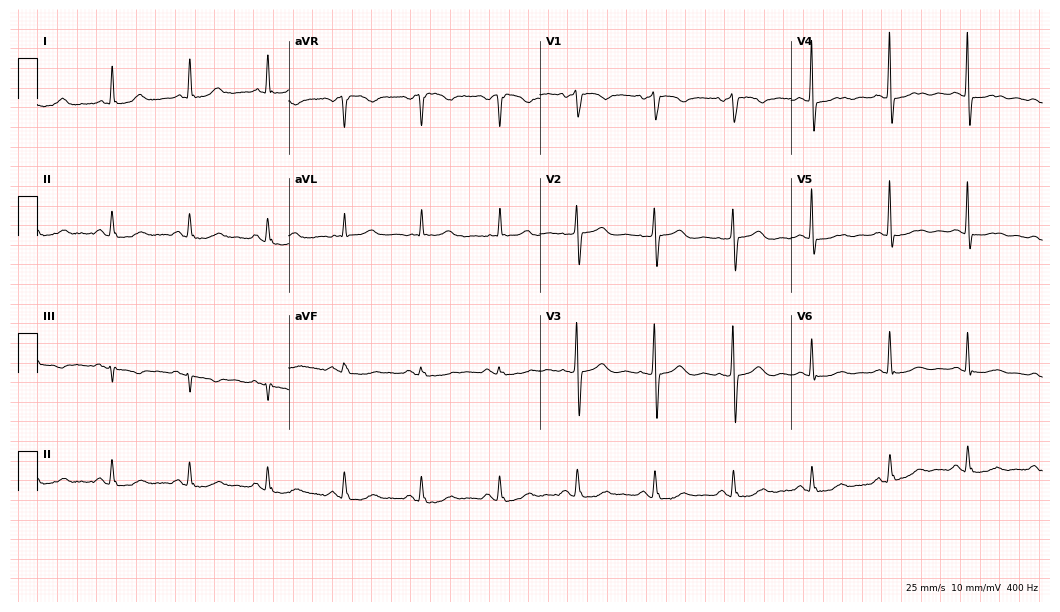
Resting 12-lead electrocardiogram. Patient: a 69-year-old female. None of these six findings is recorded: first-degree AV block, right bundle branch block (RBBB), left bundle branch block (LBBB), sinus bradycardia, atrial fibrillation (AF), sinus tachycardia. Other findings, if any, are not listed.